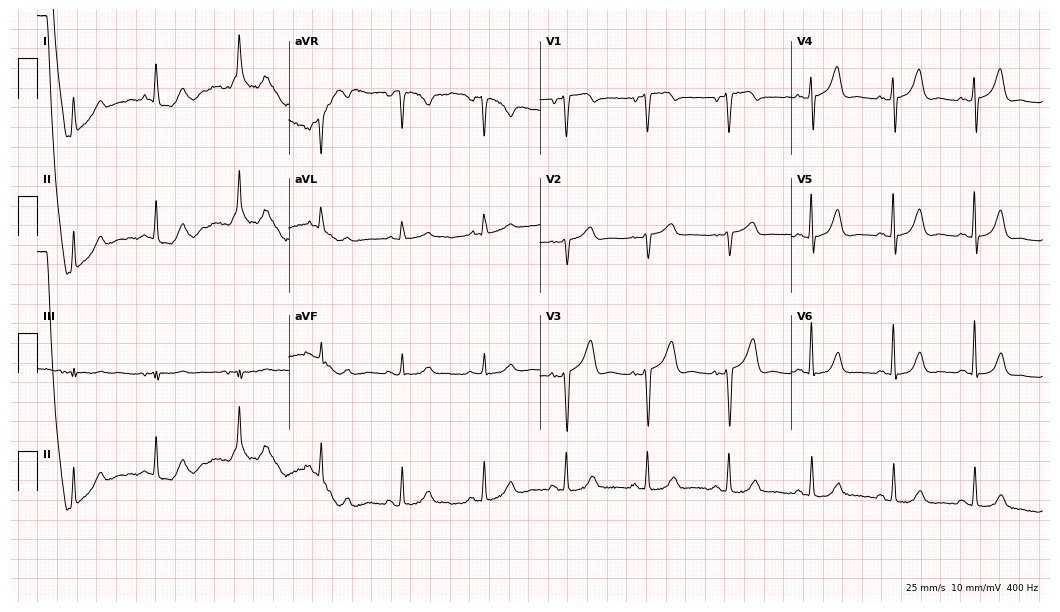
ECG — a 69-year-old female patient. Screened for six findings — first-degree AV block, right bundle branch block, left bundle branch block, sinus bradycardia, atrial fibrillation, sinus tachycardia — none is recorded. Other findings, if any, are not listed.